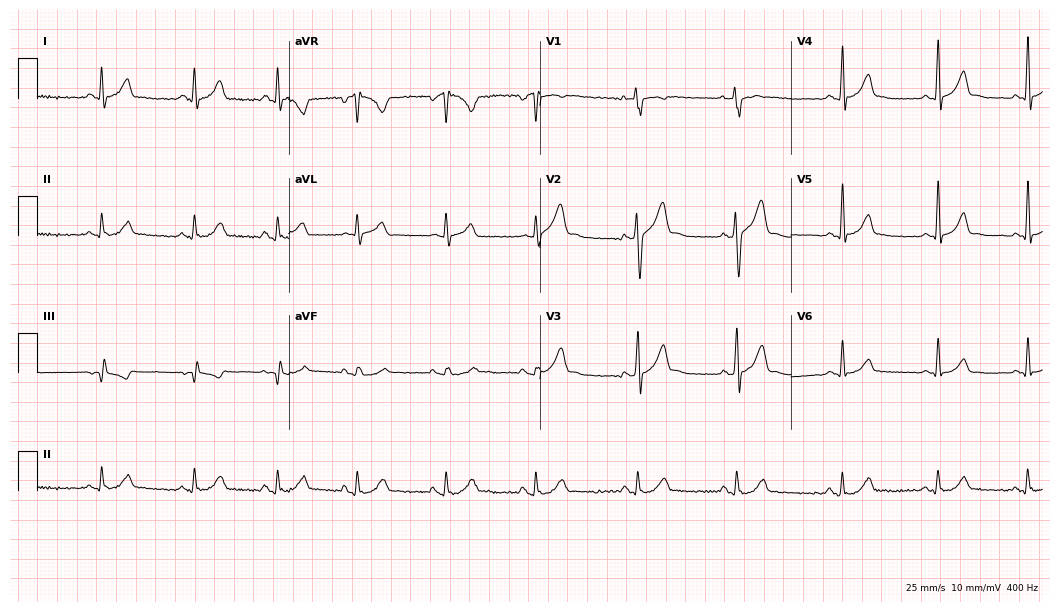
12-lead ECG from a male patient, 81 years old. Labelled as a normal ECG.